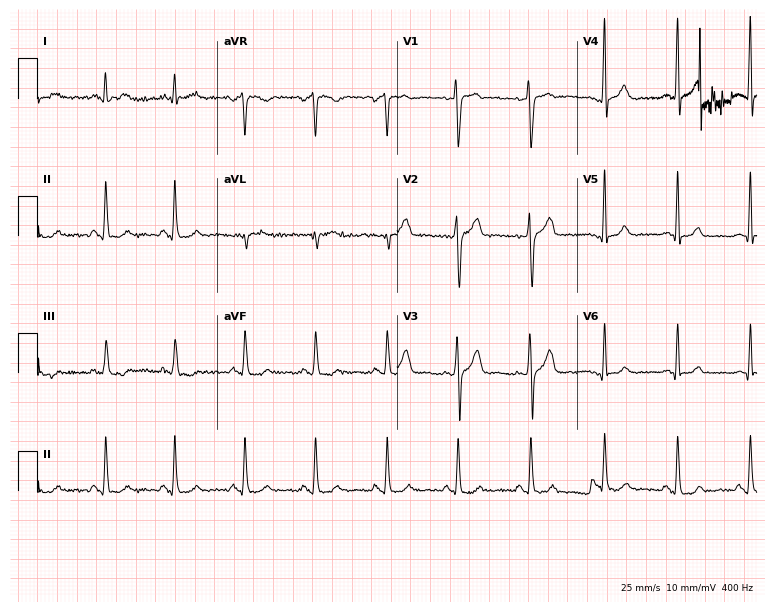
12-lead ECG from a 30-year-old male patient. Screened for six findings — first-degree AV block, right bundle branch block, left bundle branch block, sinus bradycardia, atrial fibrillation, sinus tachycardia — none is recorded.